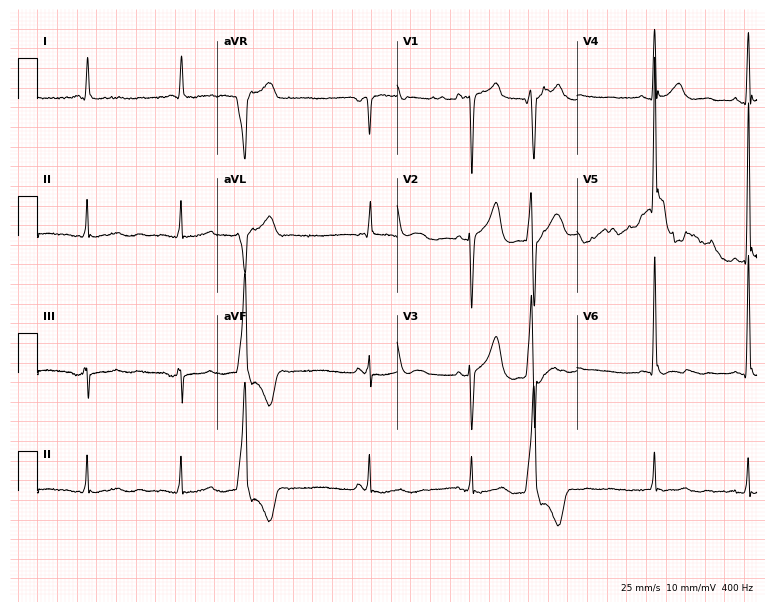
12-lead ECG from a 72-year-old male patient. No first-degree AV block, right bundle branch block (RBBB), left bundle branch block (LBBB), sinus bradycardia, atrial fibrillation (AF) or sinus tachycardia recorded for this tracing.